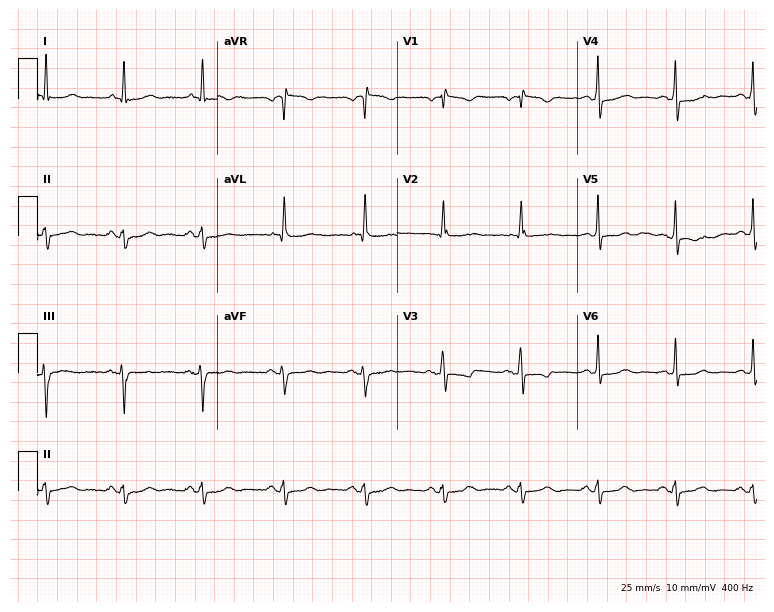
Electrocardiogram (7.3-second recording at 400 Hz), a female, 65 years old. Of the six screened findings (first-degree AV block, right bundle branch block (RBBB), left bundle branch block (LBBB), sinus bradycardia, atrial fibrillation (AF), sinus tachycardia), none is recorded.